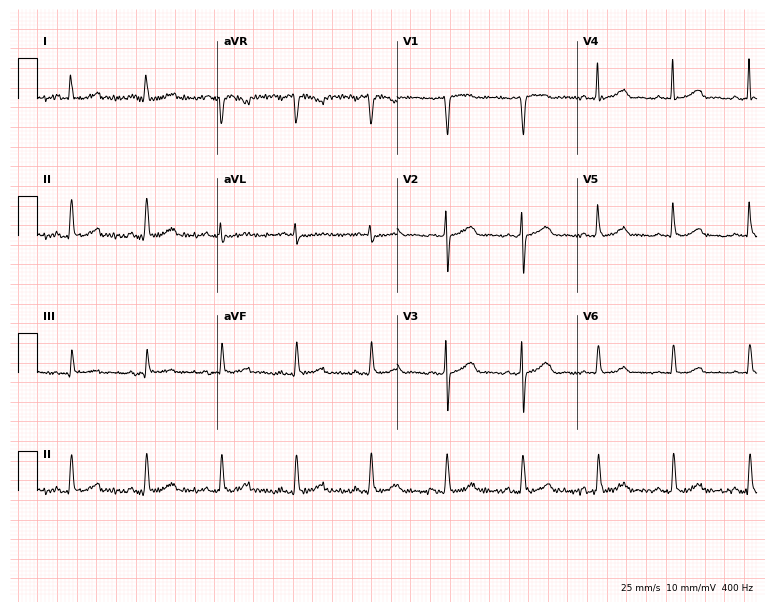
ECG (7.3-second recording at 400 Hz) — a 74-year-old woman. Screened for six findings — first-degree AV block, right bundle branch block, left bundle branch block, sinus bradycardia, atrial fibrillation, sinus tachycardia — none is recorded. Findings outside these six are not listed.